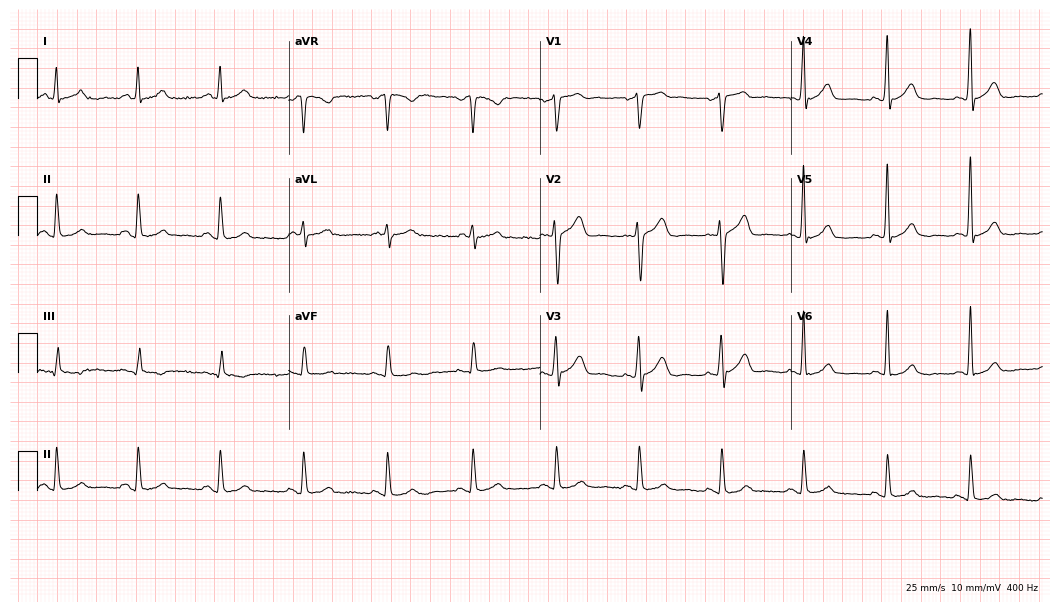
ECG (10.2-second recording at 400 Hz) — a male patient, 50 years old. Screened for six findings — first-degree AV block, right bundle branch block (RBBB), left bundle branch block (LBBB), sinus bradycardia, atrial fibrillation (AF), sinus tachycardia — none is recorded. Only these six findings were labelled.